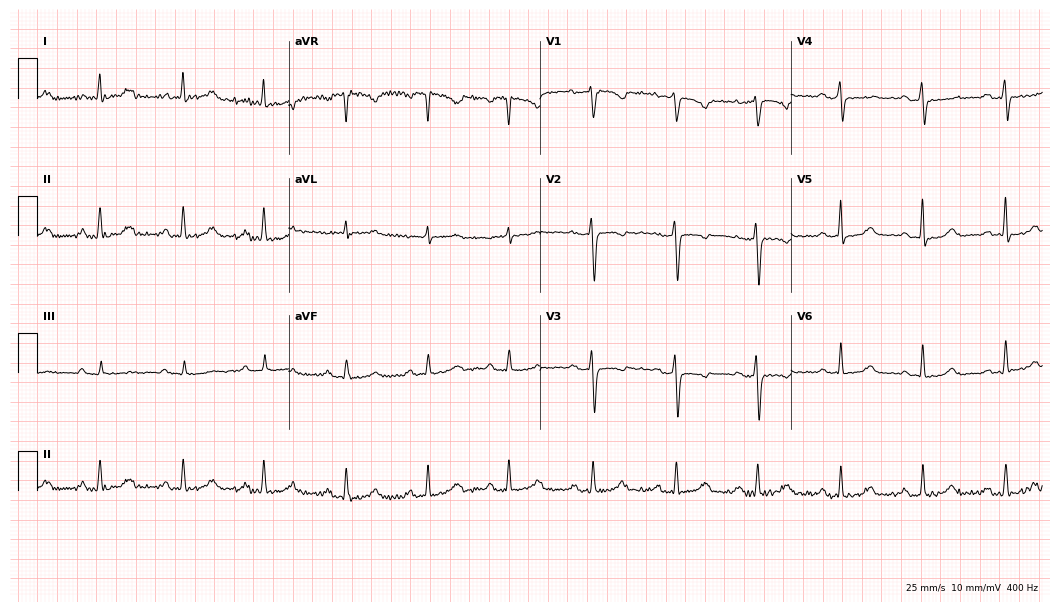
Resting 12-lead electrocardiogram (10.2-second recording at 400 Hz). Patient: a woman, 49 years old. Read as a normal ECG.